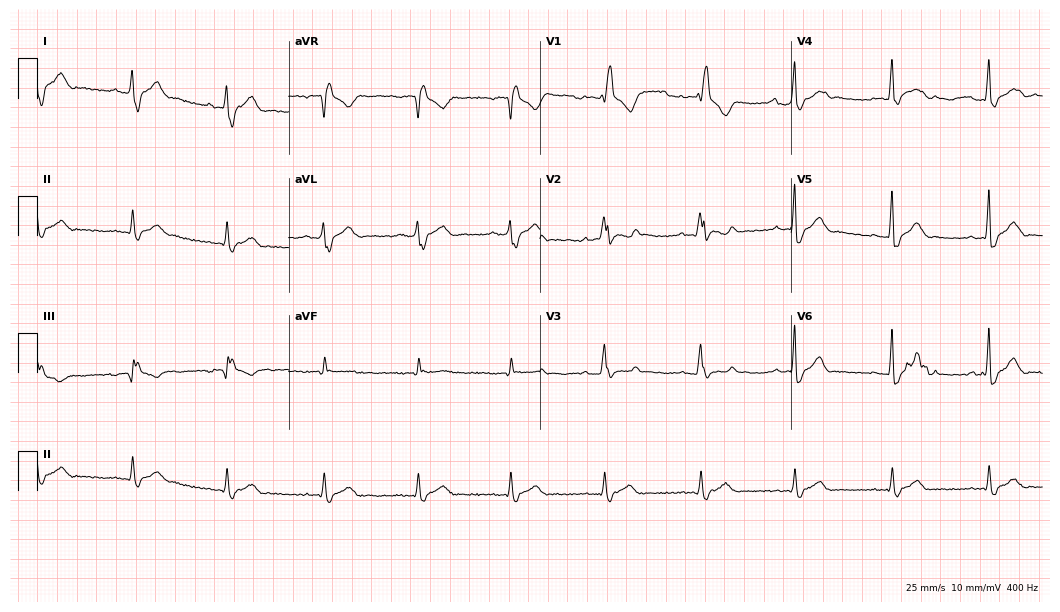
Resting 12-lead electrocardiogram. Patient: a man, 31 years old. The tracing shows right bundle branch block.